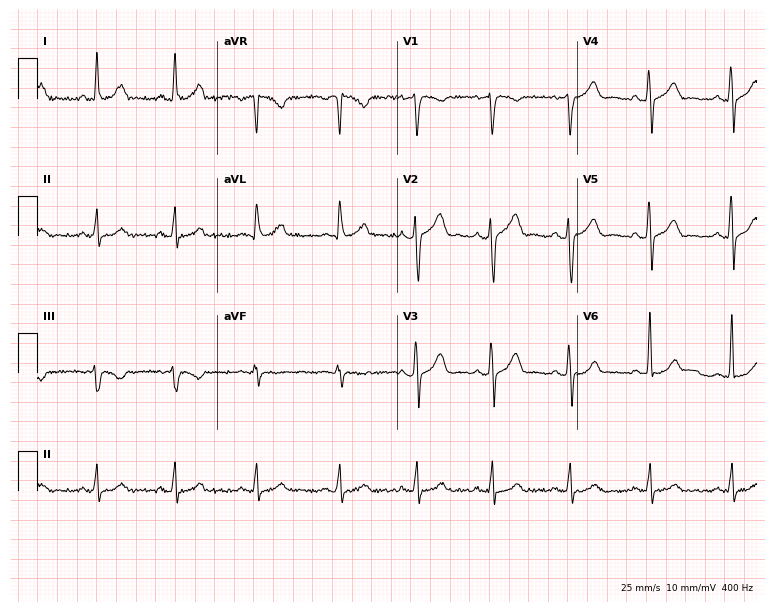
12-lead ECG from a male, 35 years old (7.3-second recording at 400 Hz). Recorded interpretation: within normal limits.